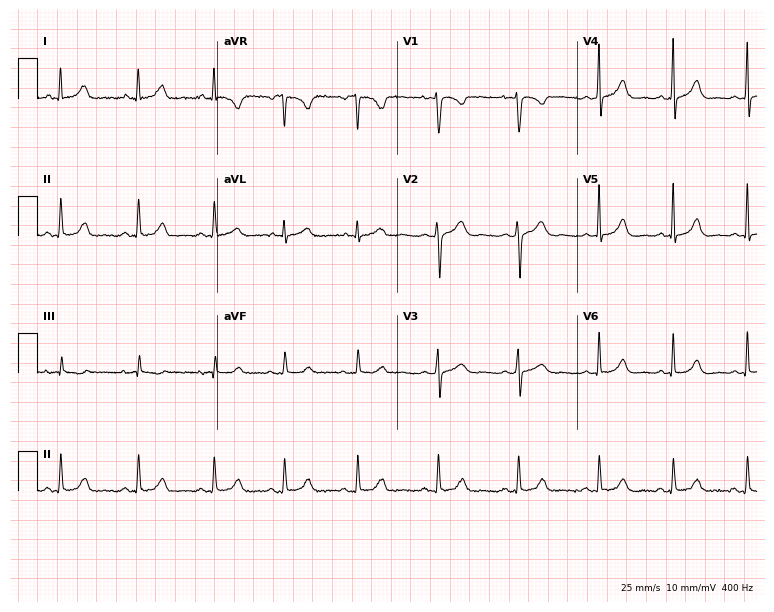
Standard 12-lead ECG recorded from a female patient, 22 years old (7.3-second recording at 400 Hz). None of these six findings is recorded: first-degree AV block, right bundle branch block (RBBB), left bundle branch block (LBBB), sinus bradycardia, atrial fibrillation (AF), sinus tachycardia.